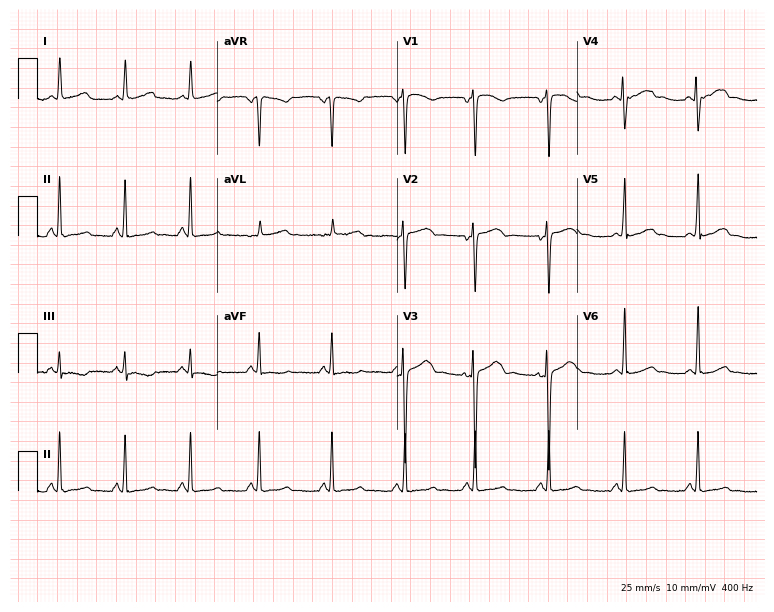
Resting 12-lead electrocardiogram (7.3-second recording at 400 Hz). Patient: a 45-year-old female. None of these six findings is recorded: first-degree AV block, right bundle branch block, left bundle branch block, sinus bradycardia, atrial fibrillation, sinus tachycardia.